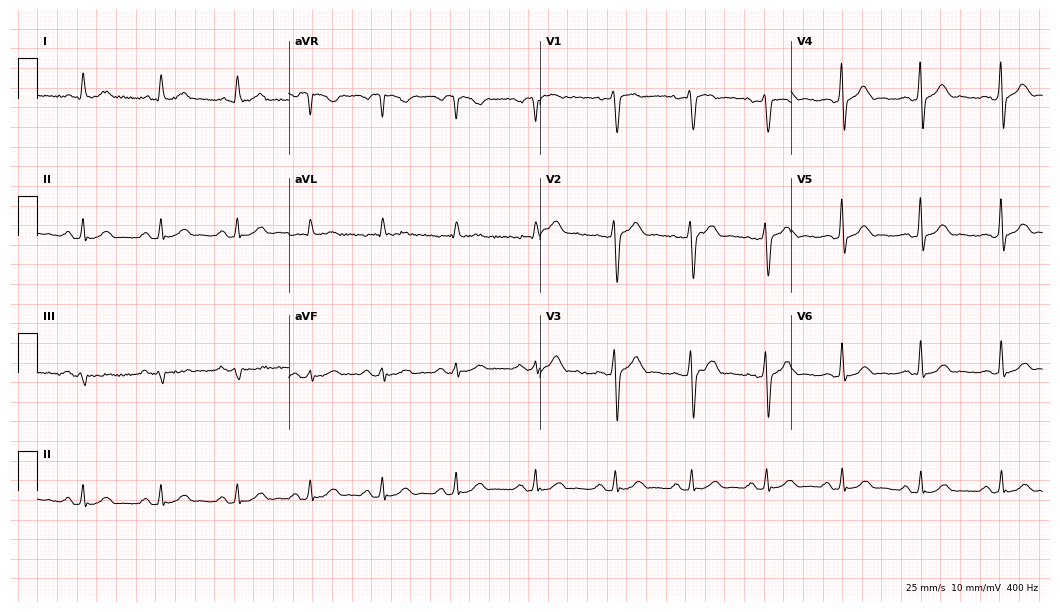
Resting 12-lead electrocardiogram (10.2-second recording at 400 Hz). Patient: a male, 56 years old. Read as a normal ECG.